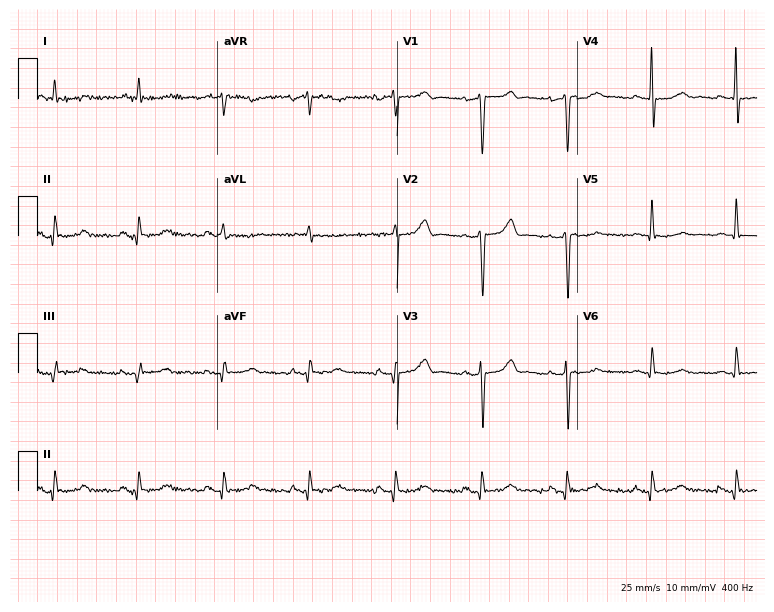
ECG (7.3-second recording at 400 Hz) — a 65-year-old male. Screened for six findings — first-degree AV block, right bundle branch block, left bundle branch block, sinus bradycardia, atrial fibrillation, sinus tachycardia — none is recorded. Only these six findings were labelled.